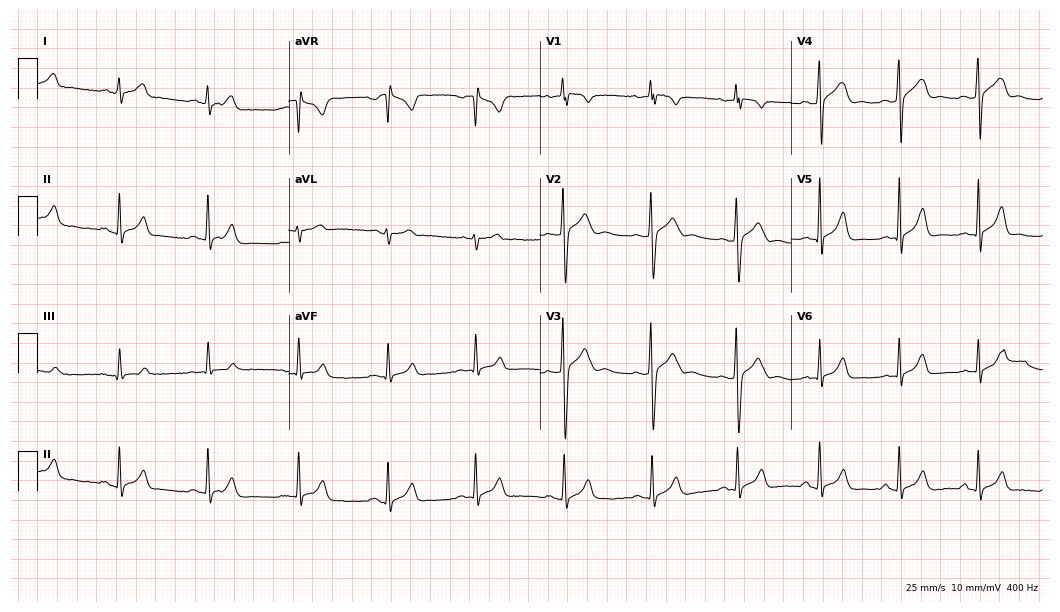
Resting 12-lead electrocardiogram (10.2-second recording at 400 Hz). Patient: a 28-year-old male. Read as a normal ECG.